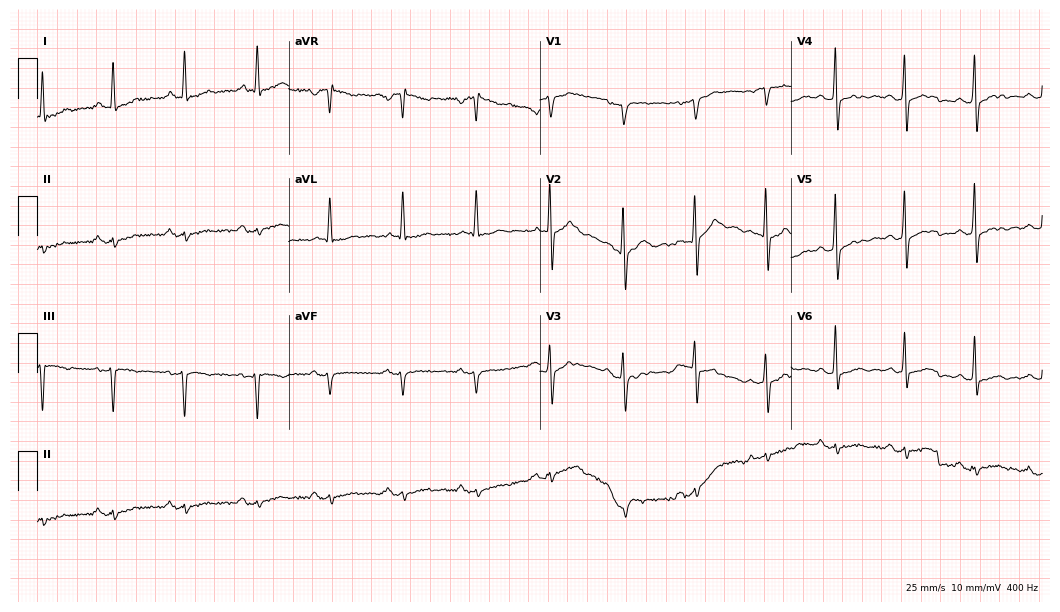
Electrocardiogram (10.2-second recording at 400 Hz), a male patient, 70 years old. Of the six screened findings (first-degree AV block, right bundle branch block (RBBB), left bundle branch block (LBBB), sinus bradycardia, atrial fibrillation (AF), sinus tachycardia), none is recorded.